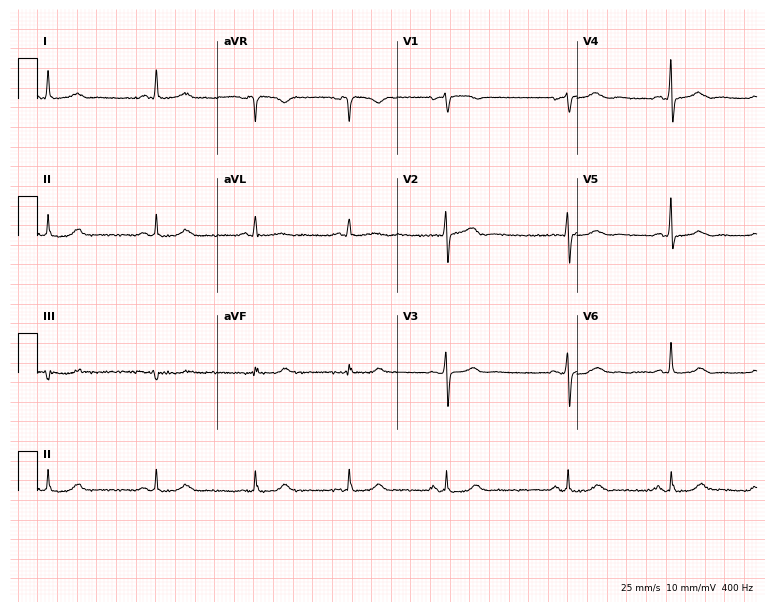
Electrocardiogram (7.3-second recording at 400 Hz), a female, 75 years old. Of the six screened findings (first-degree AV block, right bundle branch block (RBBB), left bundle branch block (LBBB), sinus bradycardia, atrial fibrillation (AF), sinus tachycardia), none is recorded. Other findings, if any, are not listed.